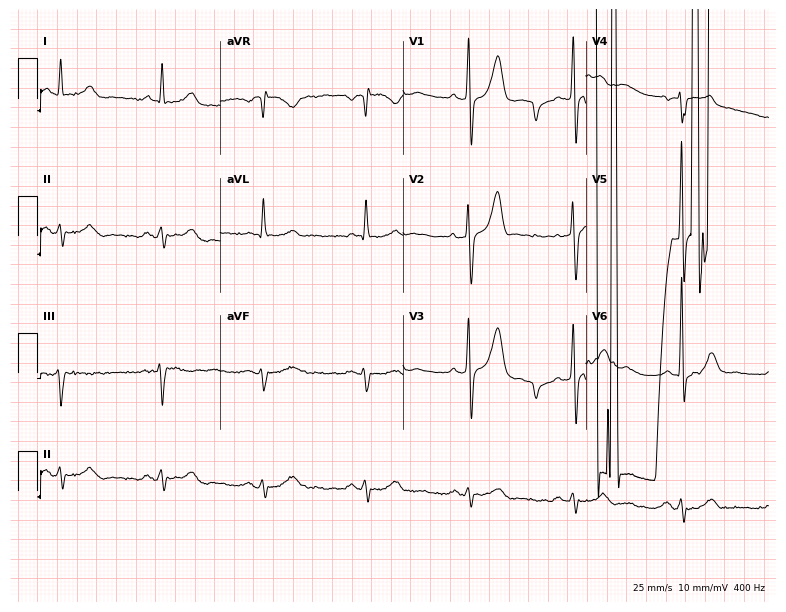
ECG — a male, 61 years old. Screened for six findings — first-degree AV block, right bundle branch block (RBBB), left bundle branch block (LBBB), sinus bradycardia, atrial fibrillation (AF), sinus tachycardia — none is recorded.